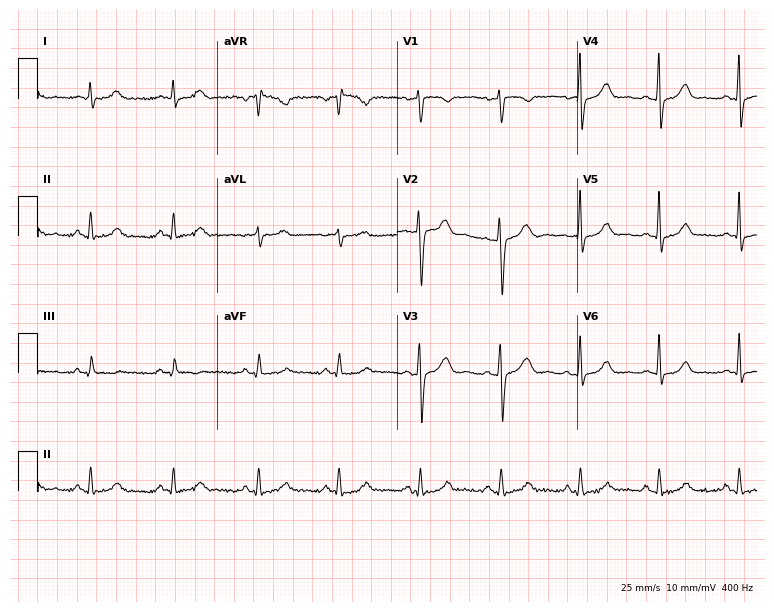
Electrocardiogram (7.3-second recording at 400 Hz), a 47-year-old female patient. Overall reading on record: normal ECG.